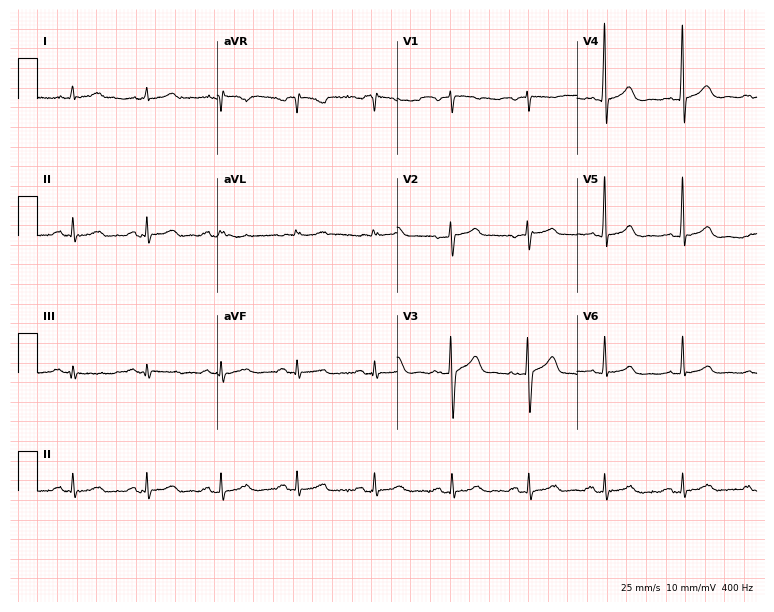
Resting 12-lead electrocardiogram. Patient: a 68-year-old man. Read as a normal ECG.